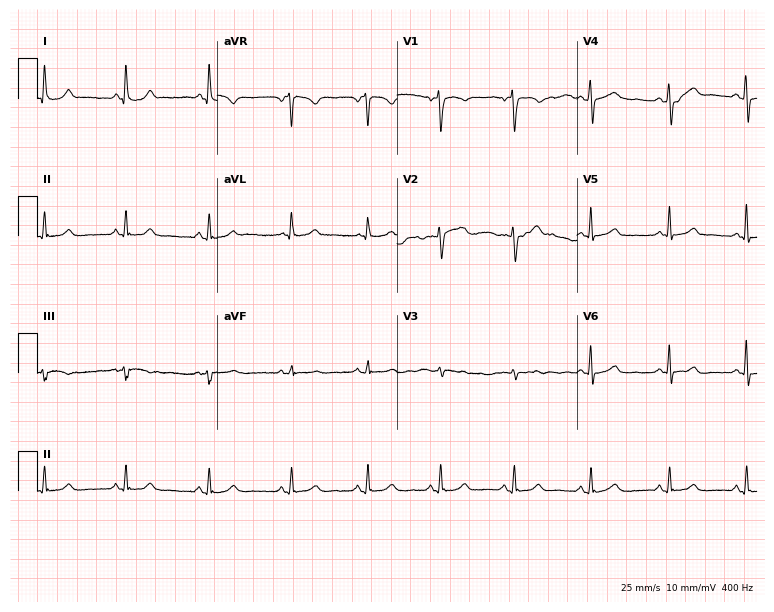
Resting 12-lead electrocardiogram. Patient: a female, 44 years old. Read as a normal ECG.